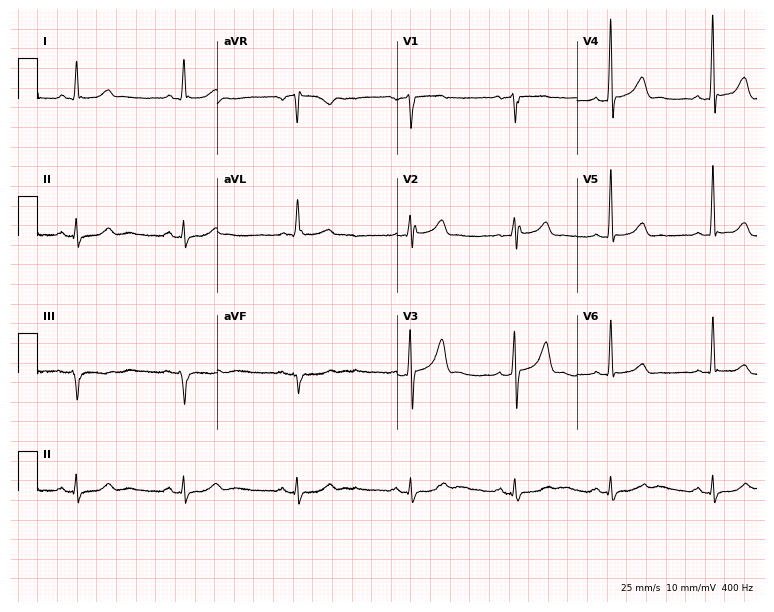
Resting 12-lead electrocardiogram. Patient: a 44-year-old male. Read as a normal ECG.